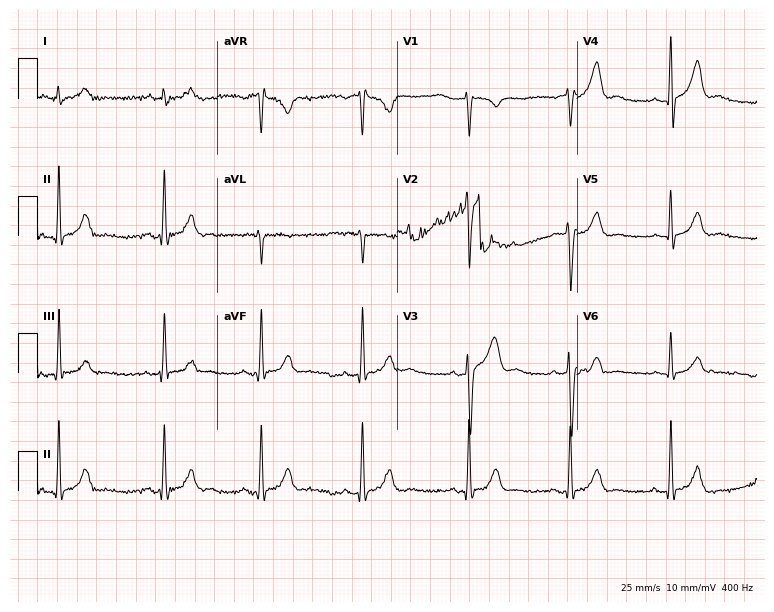
Resting 12-lead electrocardiogram (7.3-second recording at 400 Hz). Patient: a 44-year-old man. Read as a normal ECG.